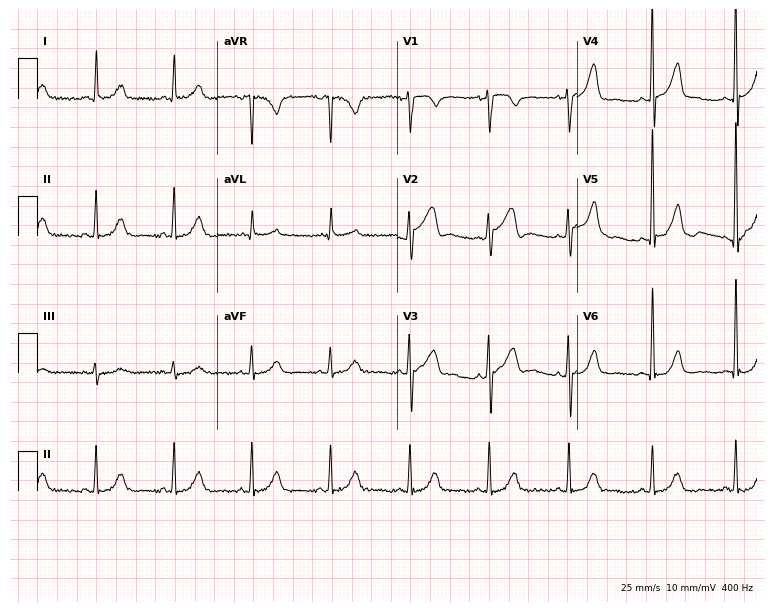
Resting 12-lead electrocardiogram. Patient: a 56-year-old female. Read as a normal ECG.